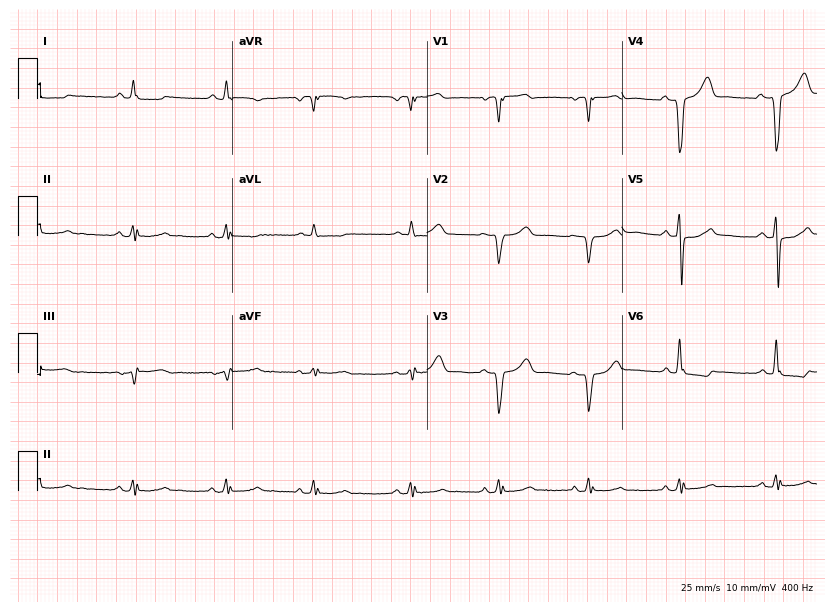
ECG — a man, 71 years old. Screened for six findings — first-degree AV block, right bundle branch block, left bundle branch block, sinus bradycardia, atrial fibrillation, sinus tachycardia — none is recorded. Only these six findings were labelled.